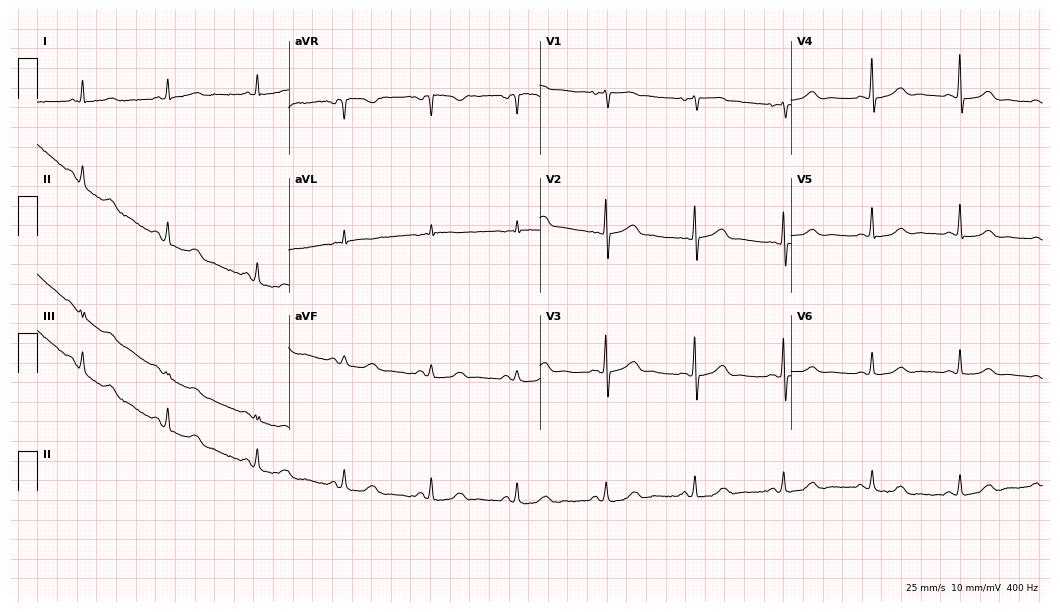
Electrocardiogram (10.2-second recording at 400 Hz), a female patient, 71 years old. Overall reading on record: normal ECG.